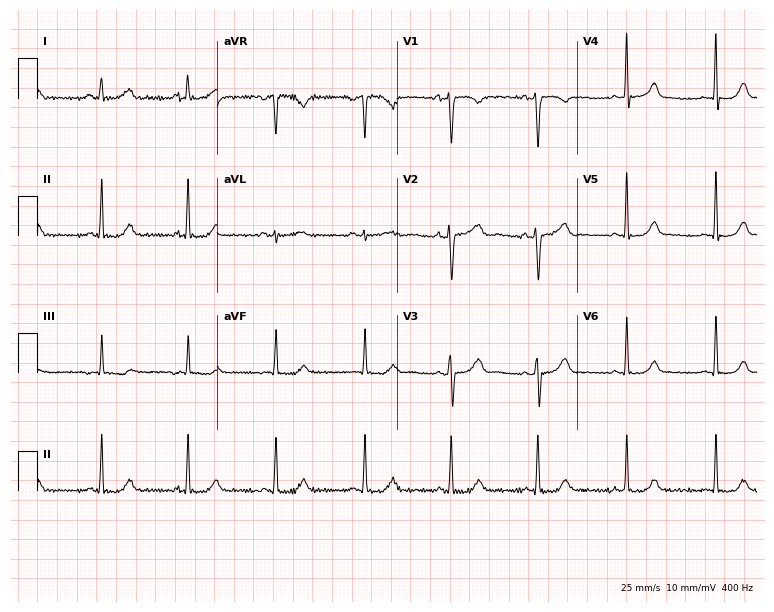
Resting 12-lead electrocardiogram. Patient: a 27-year-old female. Read as a normal ECG.